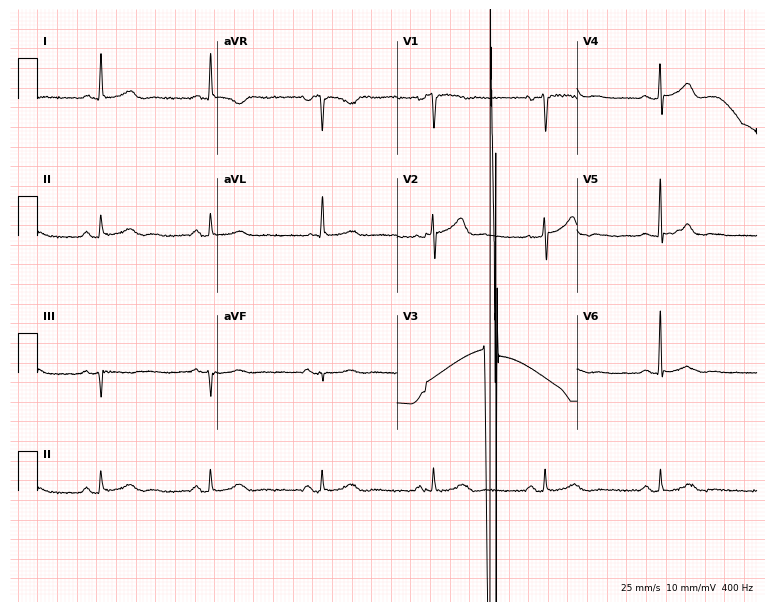
Resting 12-lead electrocardiogram (7.3-second recording at 400 Hz). Patient: a 58-year-old male. None of these six findings is recorded: first-degree AV block, right bundle branch block, left bundle branch block, sinus bradycardia, atrial fibrillation, sinus tachycardia.